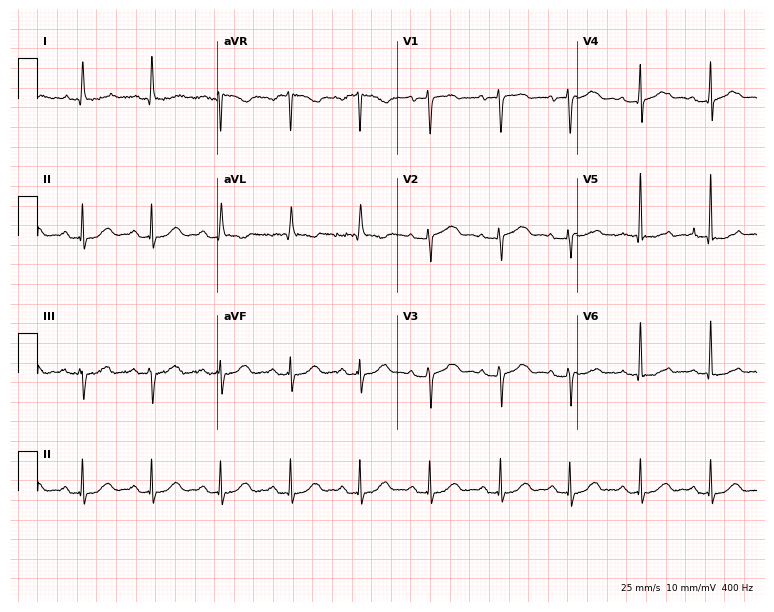
Electrocardiogram (7.3-second recording at 400 Hz), an 84-year-old female. Of the six screened findings (first-degree AV block, right bundle branch block, left bundle branch block, sinus bradycardia, atrial fibrillation, sinus tachycardia), none is recorded.